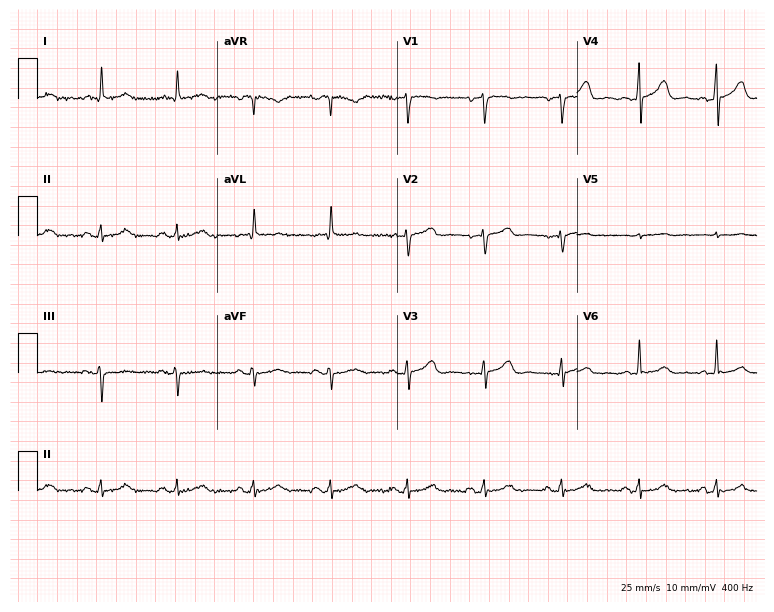
ECG — a 58-year-old female. Labelled as a normal ECG.